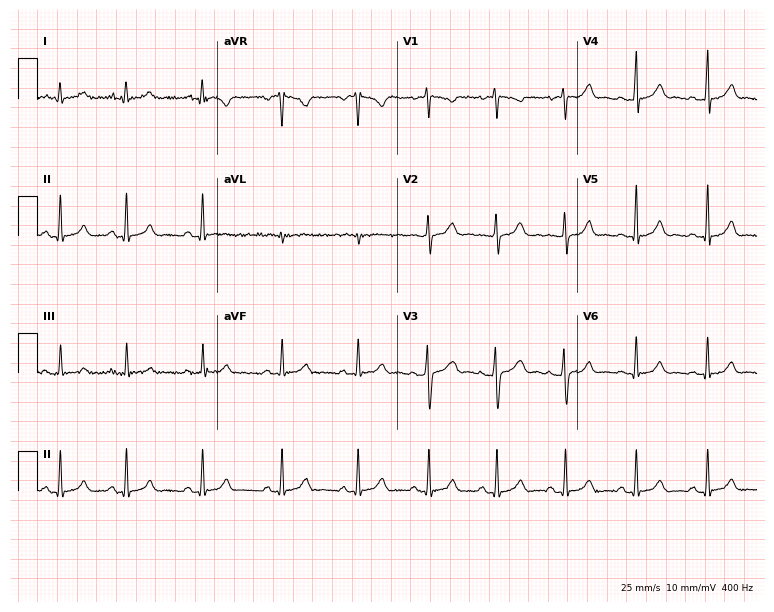
Resting 12-lead electrocardiogram. Patient: an 18-year-old female. Read as a normal ECG.